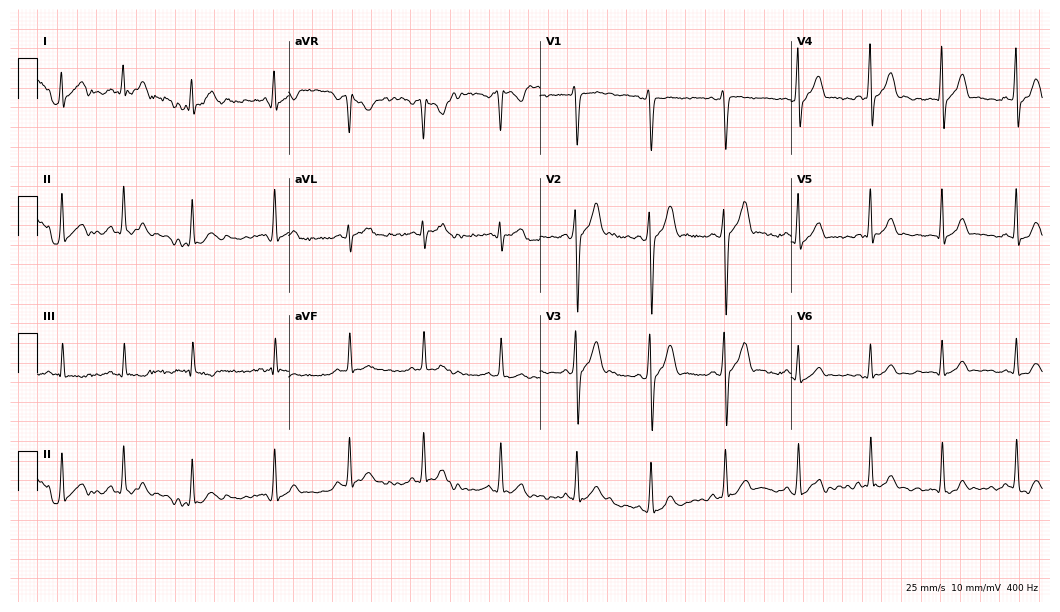
12-lead ECG from a 19-year-old man. Labelled as a normal ECG.